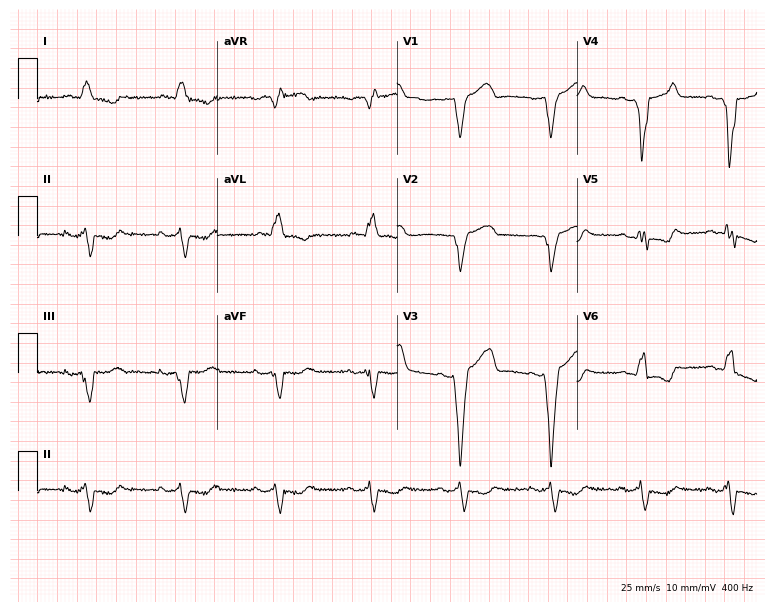
12-lead ECG from a male, 76 years old. Findings include left bundle branch block.